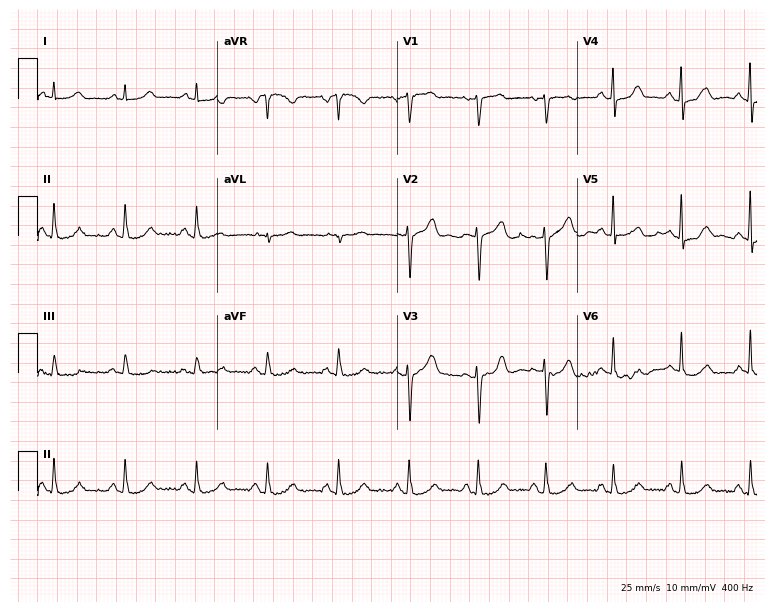
12-lead ECG from a female, 48 years old (7.3-second recording at 400 Hz). Recorded interpretation: within normal limits.